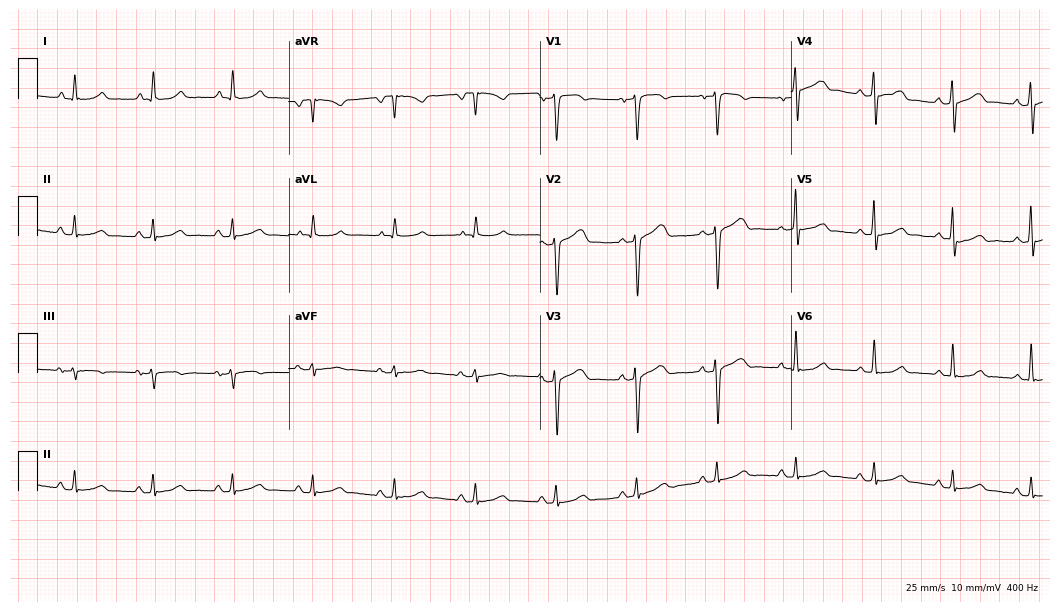
Resting 12-lead electrocardiogram (10.2-second recording at 400 Hz). Patient: a 72-year-old male. None of these six findings is recorded: first-degree AV block, right bundle branch block (RBBB), left bundle branch block (LBBB), sinus bradycardia, atrial fibrillation (AF), sinus tachycardia. Only these six findings were labelled.